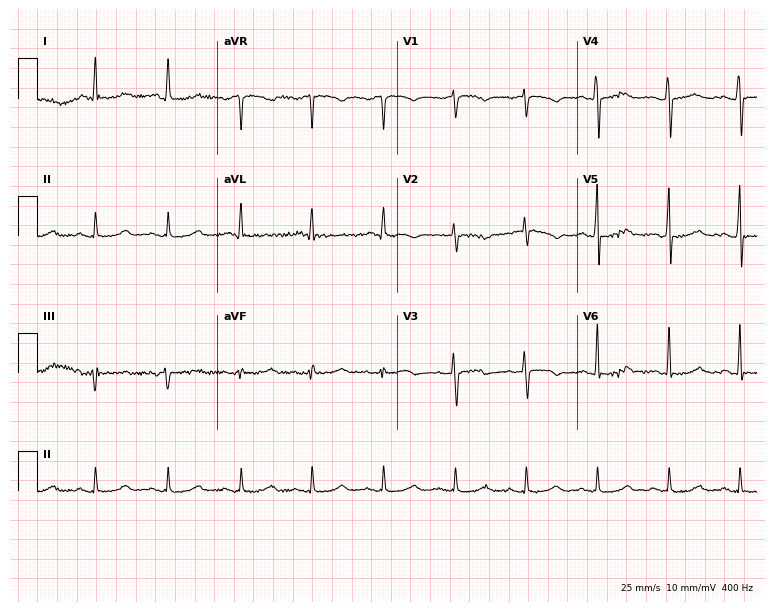
12-lead ECG (7.3-second recording at 400 Hz) from a 57-year-old female. Screened for six findings — first-degree AV block, right bundle branch block, left bundle branch block, sinus bradycardia, atrial fibrillation, sinus tachycardia — none is recorded.